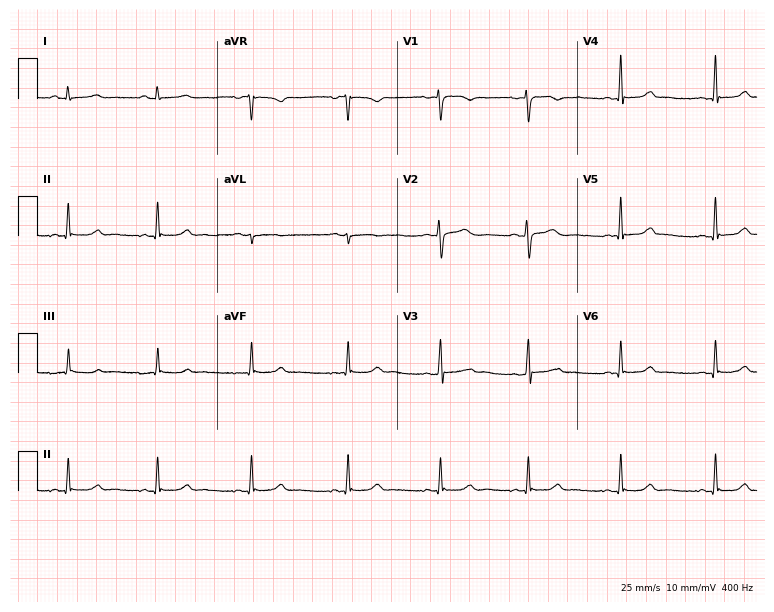
12-lead ECG from a 34-year-old woman. Labelled as a normal ECG.